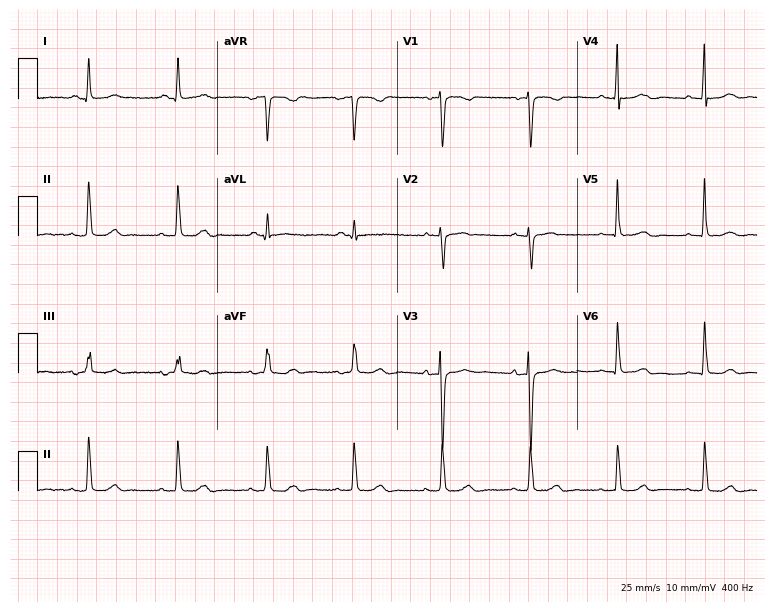
Electrocardiogram (7.3-second recording at 400 Hz), a female, 68 years old. Of the six screened findings (first-degree AV block, right bundle branch block (RBBB), left bundle branch block (LBBB), sinus bradycardia, atrial fibrillation (AF), sinus tachycardia), none is recorded.